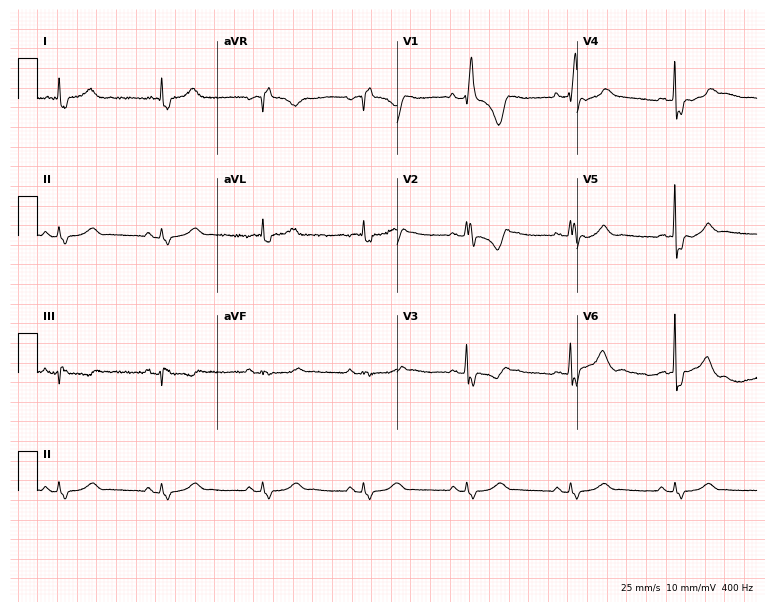
Standard 12-lead ECG recorded from a 68-year-old male. The tracing shows right bundle branch block (RBBB).